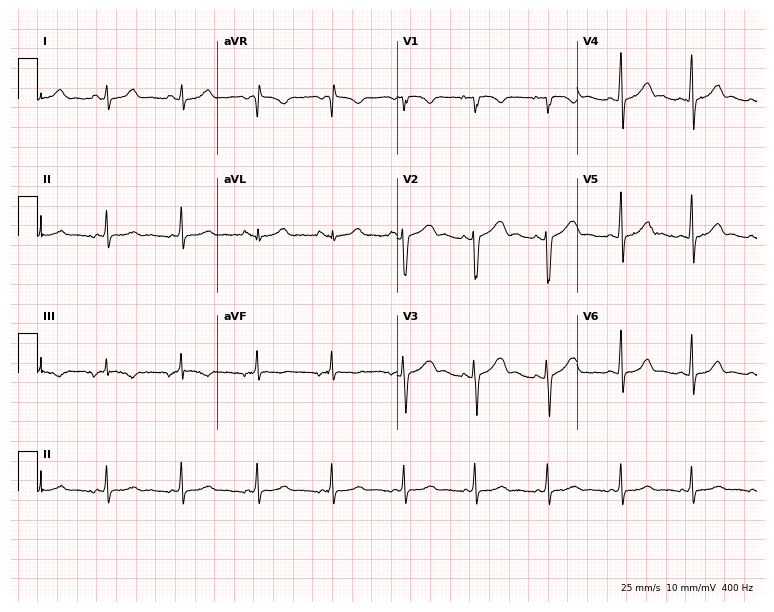
Standard 12-lead ECG recorded from a 20-year-old woman (7.3-second recording at 400 Hz). None of these six findings is recorded: first-degree AV block, right bundle branch block, left bundle branch block, sinus bradycardia, atrial fibrillation, sinus tachycardia. Only these six findings were labelled.